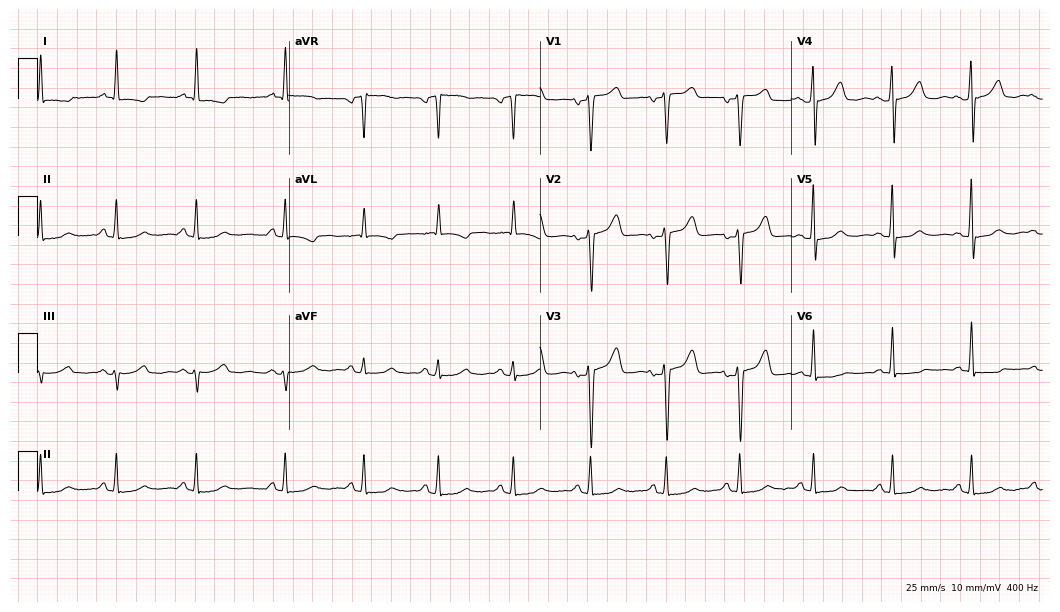
Electrocardiogram, a 36-year-old woman. Of the six screened findings (first-degree AV block, right bundle branch block, left bundle branch block, sinus bradycardia, atrial fibrillation, sinus tachycardia), none is recorded.